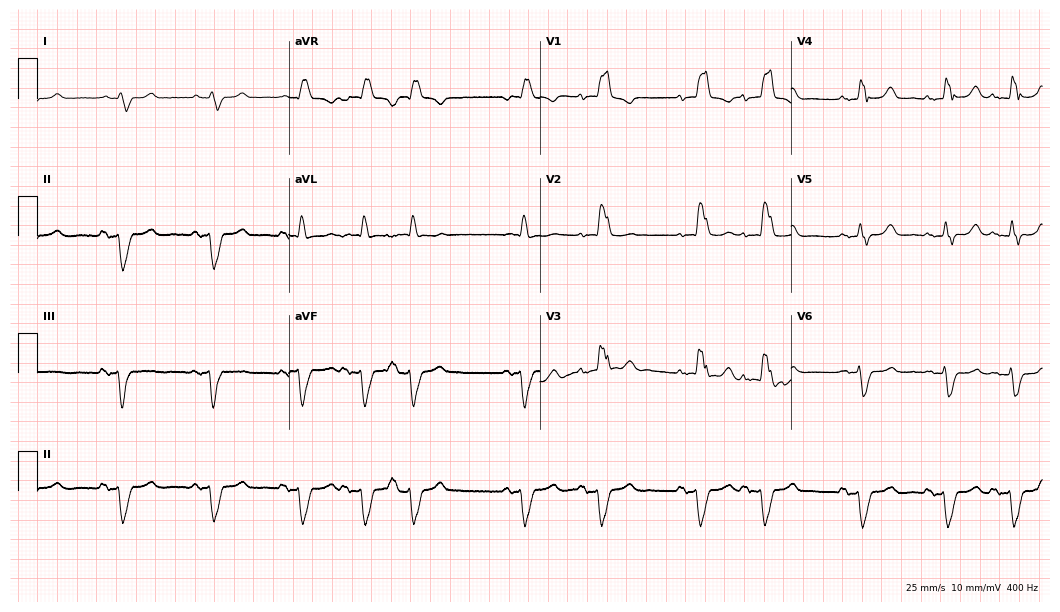
12-lead ECG from a 78-year-old woman (10.2-second recording at 400 Hz). Shows right bundle branch block.